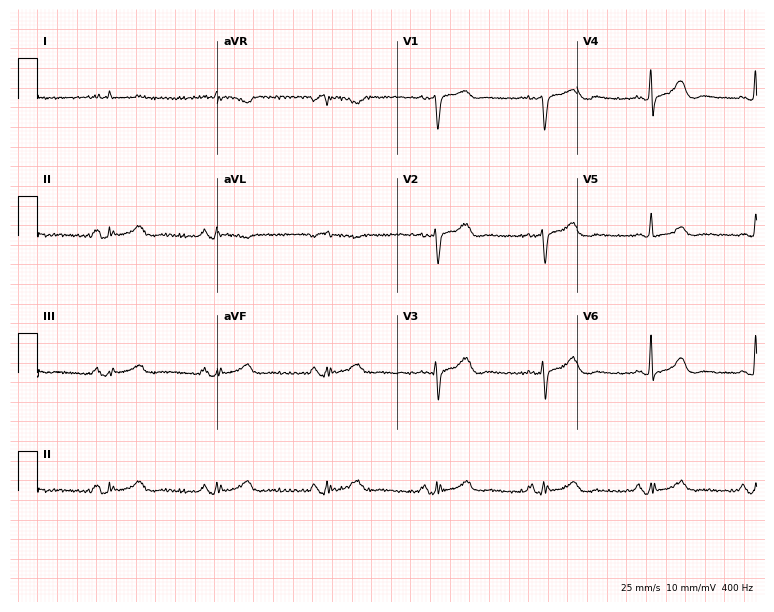
Standard 12-lead ECG recorded from a 70-year-old male (7.3-second recording at 400 Hz). None of these six findings is recorded: first-degree AV block, right bundle branch block, left bundle branch block, sinus bradycardia, atrial fibrillation, sinus tachycardia. Only these six findings were labelled.